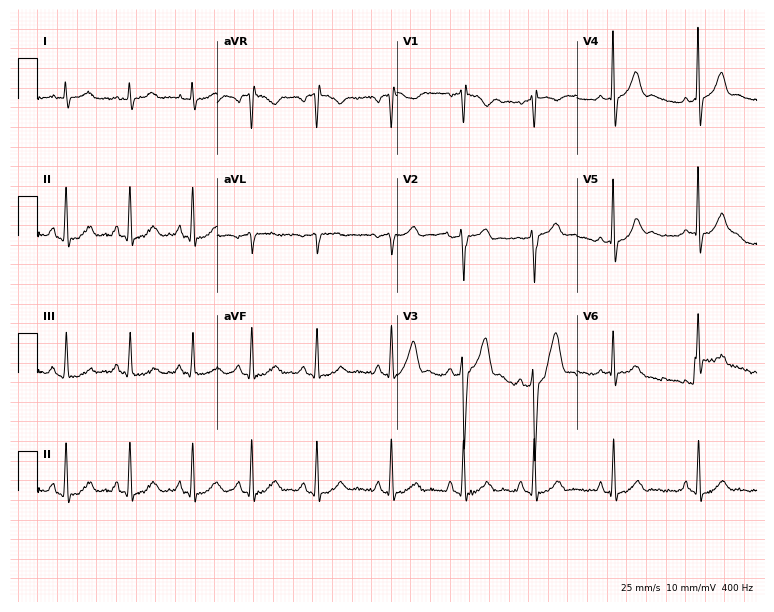
Standard 12-lead ECG recorded from a male, 25 years old (7.3-second recording at 400 Hz). None of these six findings is recorded: first-degree AV block, right bundle branch block, left bundle branch block, sinus bradycardia, atrial fibrillation, sinus tachycardia. Other findings, if any, are not listed.